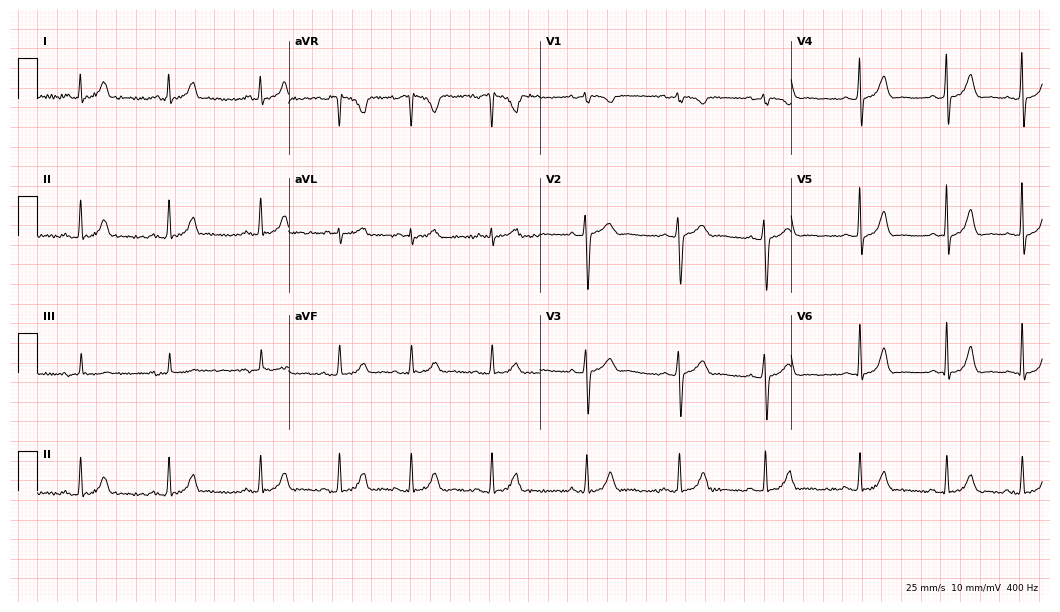
ECG (10.2-second recording at 400 Hz) — a female patient, 20 years old. Screened for six findings — first-degree AV block, right bundle branch block (RBBB), left bundle branch block (LBBB), sinus bradycardia, atrial fibrillation (AF), sinus tachycardia — none is recorded.